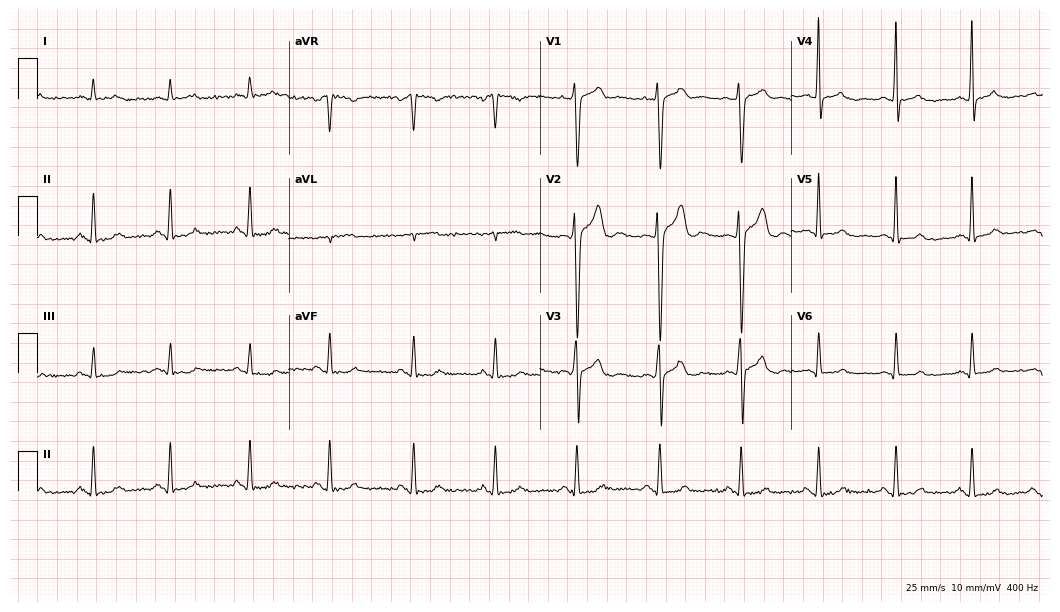
12-lead ECG from a man, 26 years old. Labelled as a normal ECG.